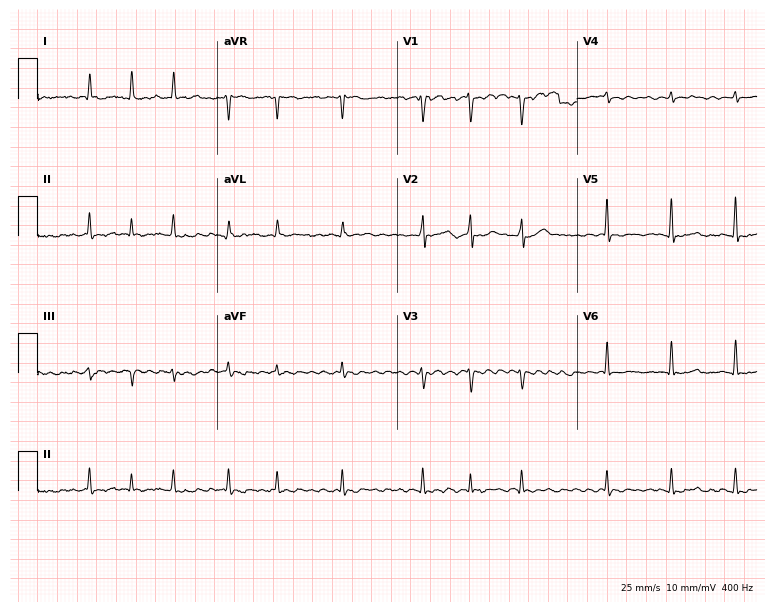
Resting 12-lead electrocardiogram. Patient: a 68-year-old woman. The tracing shows atrial fibrillation (AF).